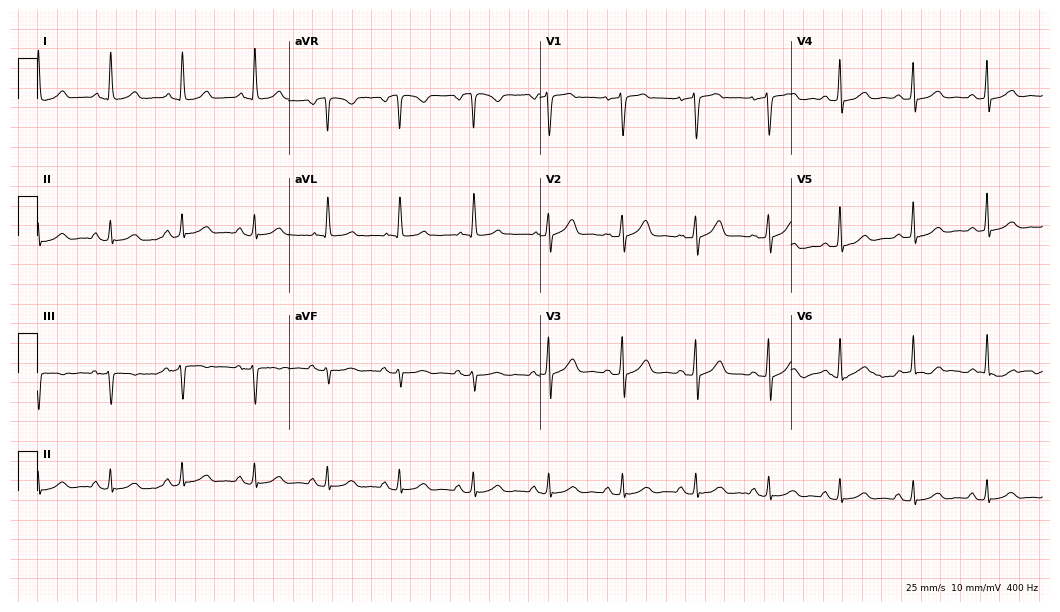
12-lead ECG from a female patient, 63 years old. Labelled as a normal ECG.